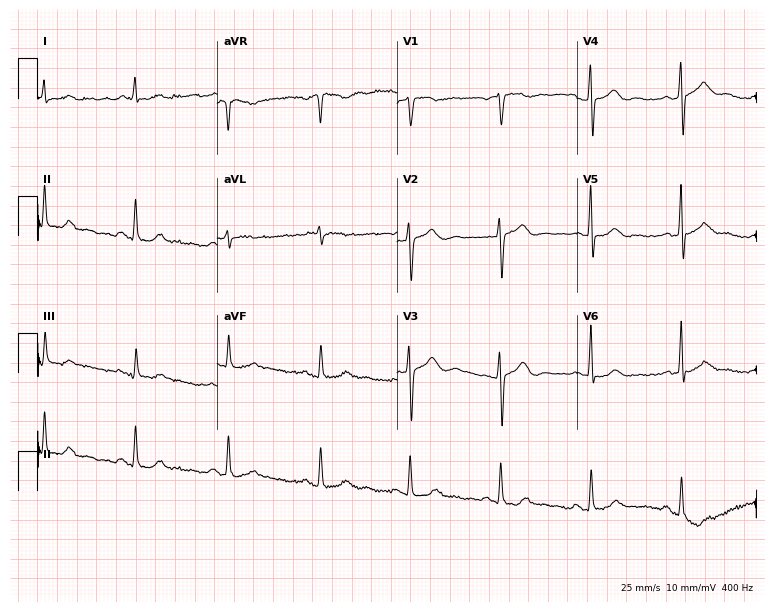
Standard 12-lead ECG recorded from an 80-year-old male. None of these six findings is recorded: first-degree AV block, right bundle branch block, left bundle branch block, sinus bradycardia, atrial fibrillation, sinus tachycardia.